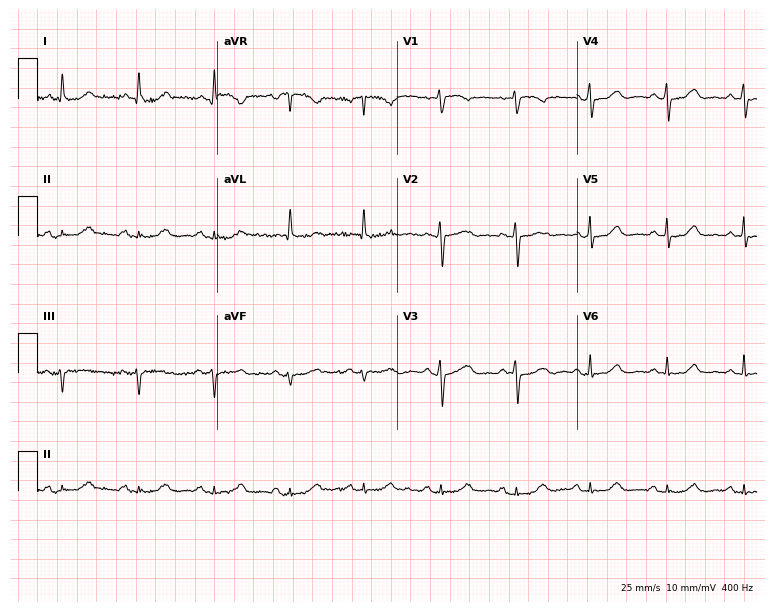
ECG (7.3-second recording at 400 Hz) — a female patient, 69 years old. Labelled as a normal ECG.